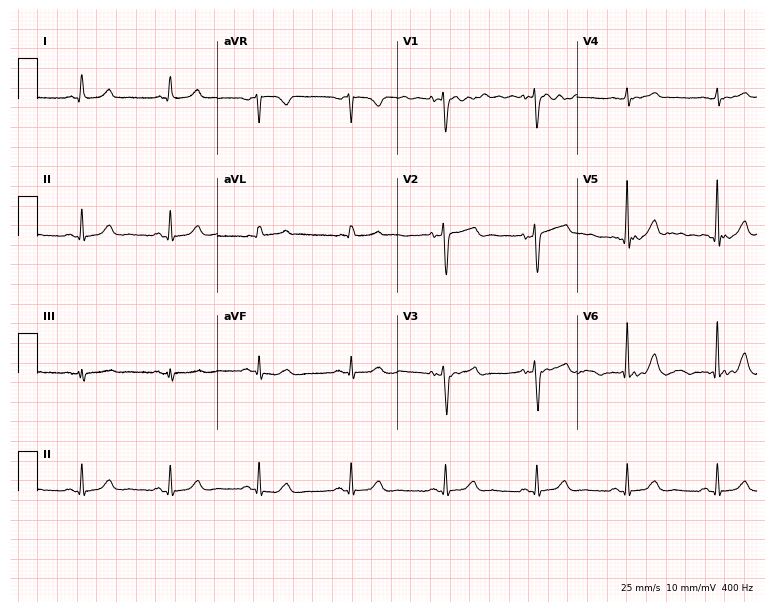
Standard 12-lead ECG recorded from a female patient, 53 years old (7.3-second recording at 400 Hz). Read as a normal ECG.